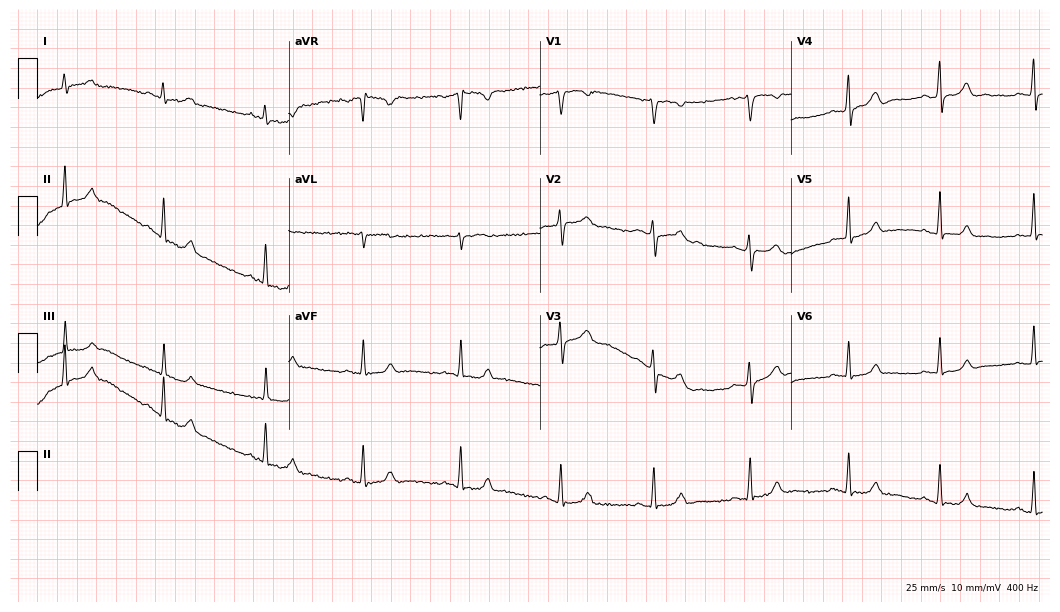
Standard 12-lead ECG recorded from a female patient, 34 years old (10.2-second recording at 400 Hz). Read as a normal ECG.